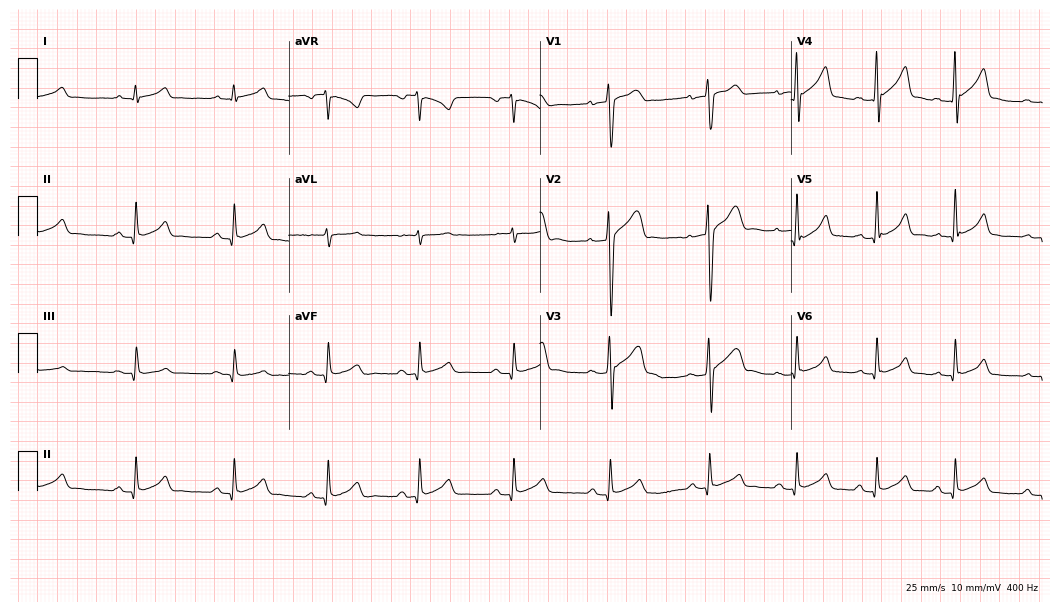
Standard 12-lead ECG recorded from a 28-year-old man. None of these six findings is recorded: first-degree AV block, right bundle branch block, left bundle branch block, sinus bradycardia, atrial fibrillation, sinus tachycardia.